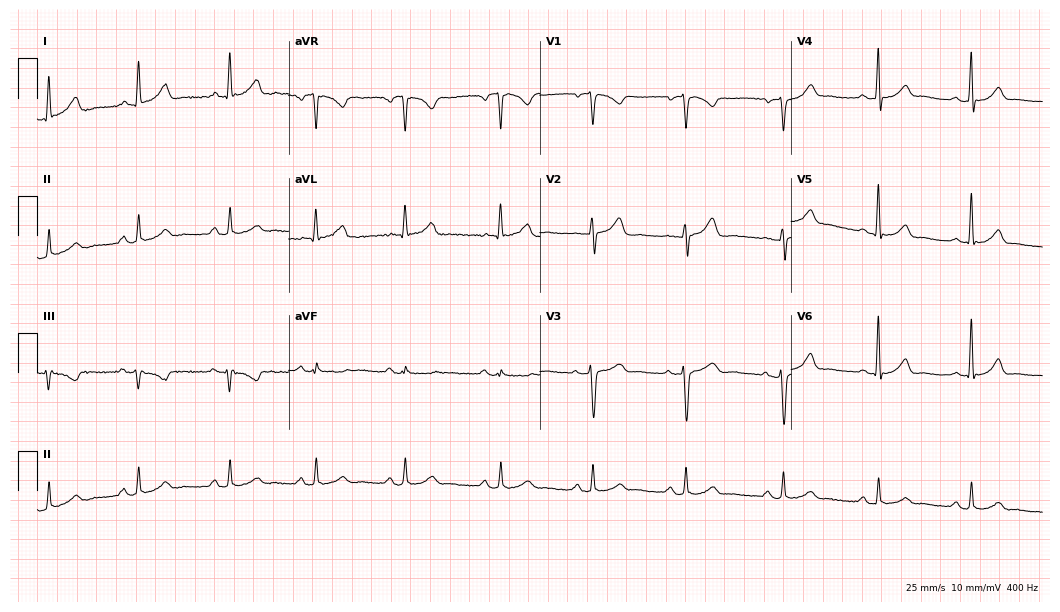
12-lead ECG from a female, 43 years old. Recorded interpretation: within normal limits.